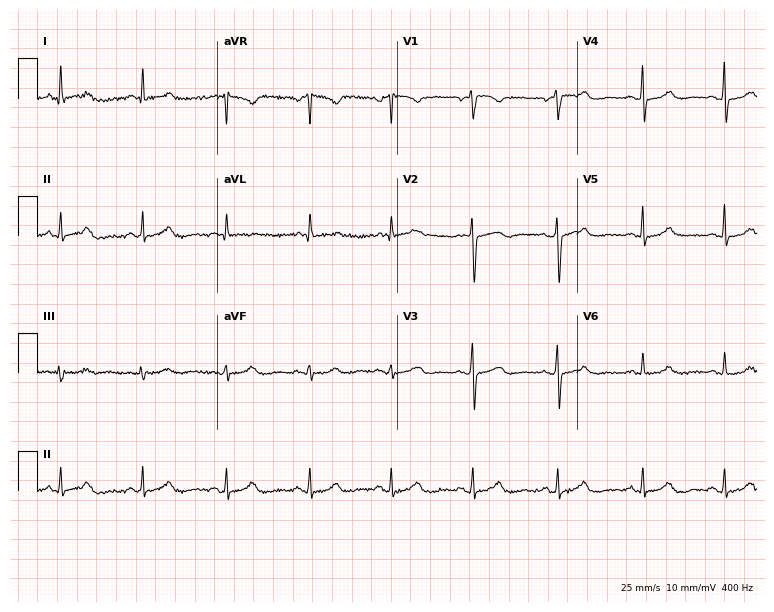
Resting 12-lead electrocardiogram (7.3-second recording at 400 Hz). Patient: a 48-year-old woman. Read as a normal ECG.